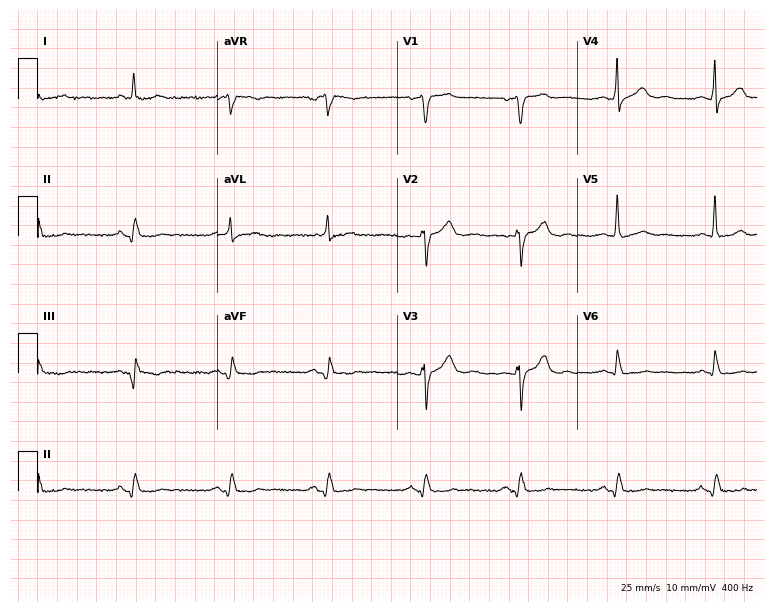
Electrocardiogram (7.3-second recording at 400 Hz), a male patient, 66 years old. Of the six screened findings (first-degree AV block, right bundle branch block (RBBB), left bundle branch block (LBBB), sinus bradycardia, atrial fibrillation (AF), sinus tachycardia), none is recorded. Only these six findings were labelled.